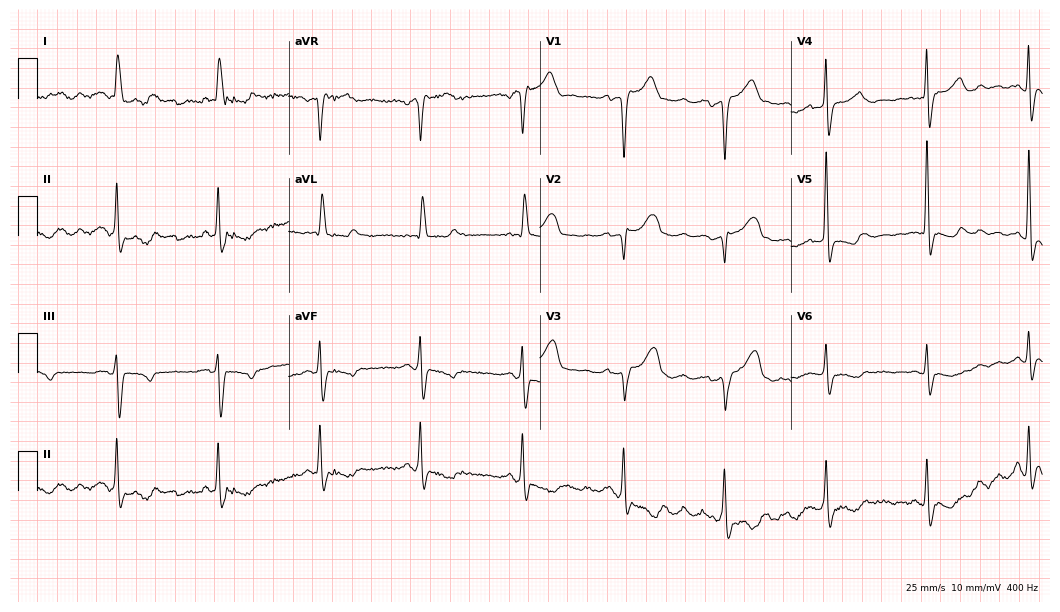
12-lead ECG from an 82-year-old male patient (10.2-second recording at 400 Hz). No first-degree AV block, right bundle branch block (RBBB), left bundle branch block (LBBB), sinus bradycardia, atrial fibrillation (AF) or sinus tachycardia recorded for this tracing. Other findings, if any, are not listed.